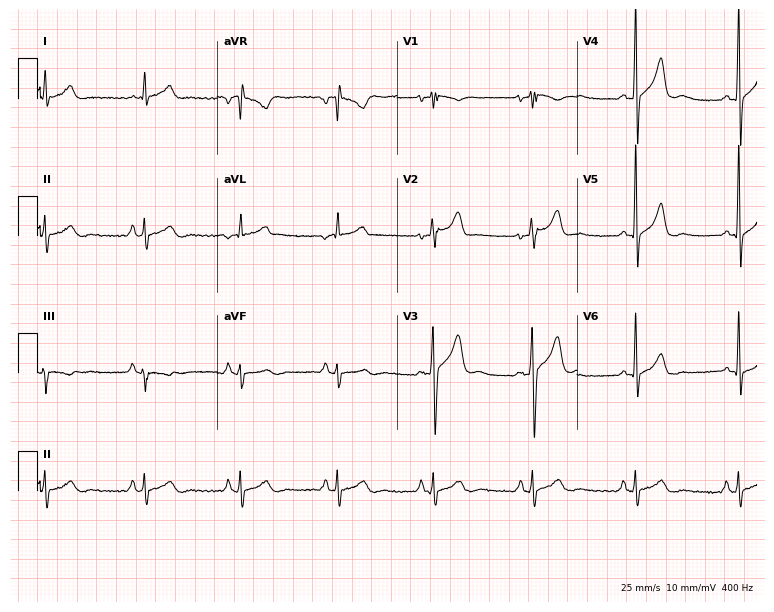
12-lead ECG from a 50-year-old male patient (7.3-second recording at 400 Hz). Recorded interpretation: within normal limits.